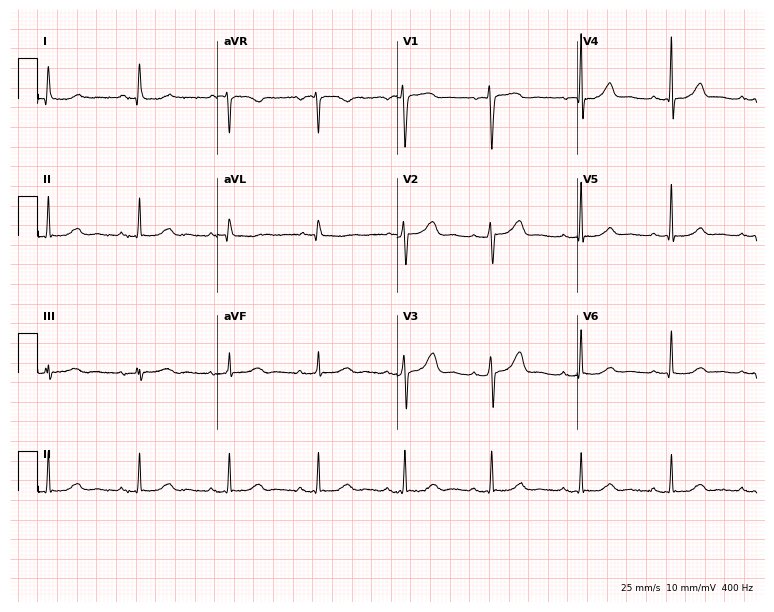
12-lead ECG from a female, 54 years old. No first-degree AV block, right bundle branch block, left bundle branch block, sinus bradycardia, atrial fibrillation or sinus tachycardia recorded for this tracing.